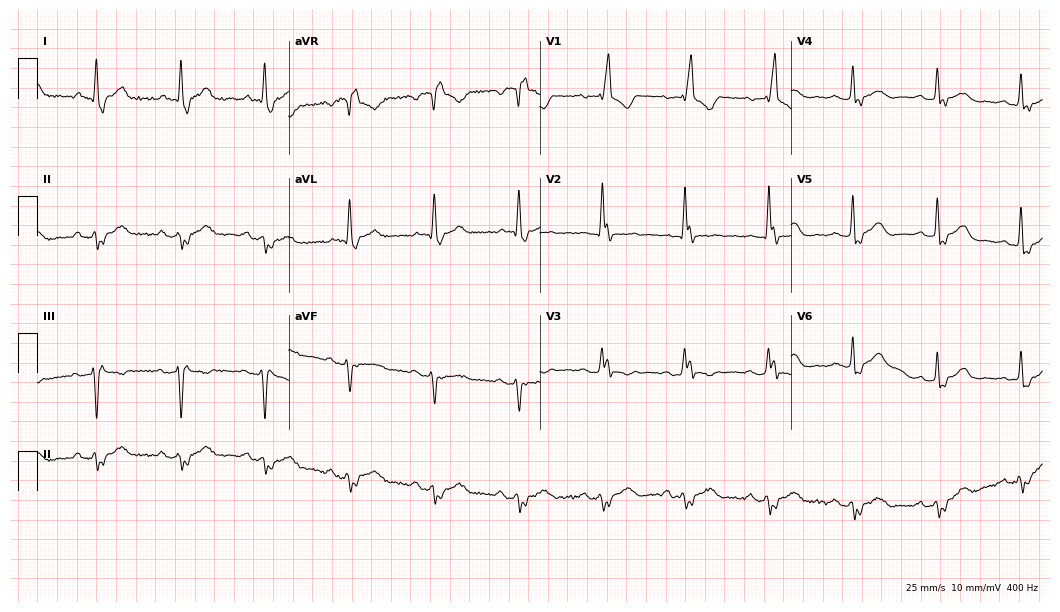
ECG (10.2-second recording at 400 Hz) — an 83-year-old woman. Findings include right bundle branch block.